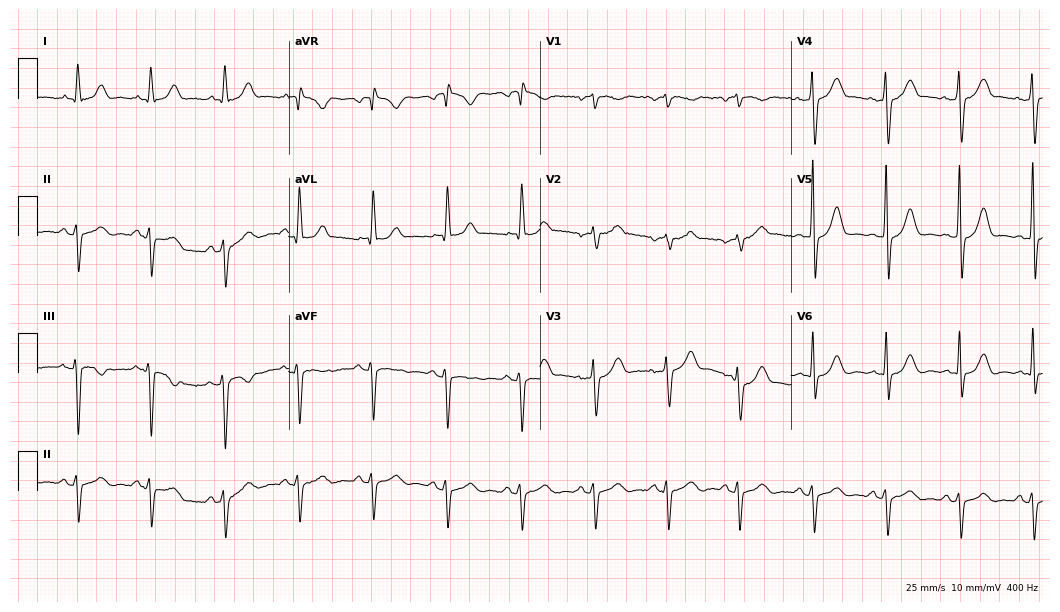
ECG (10.2-second recording at 400 Hz) — a male patient, 76 years old. Screened for six findings — first-degree AV block, right bundle branch block, left bundle branch block, sinus bradycardia, atrial fibrillation, sinus tachycardia — none is recorded. Findings outside these six are not listed.